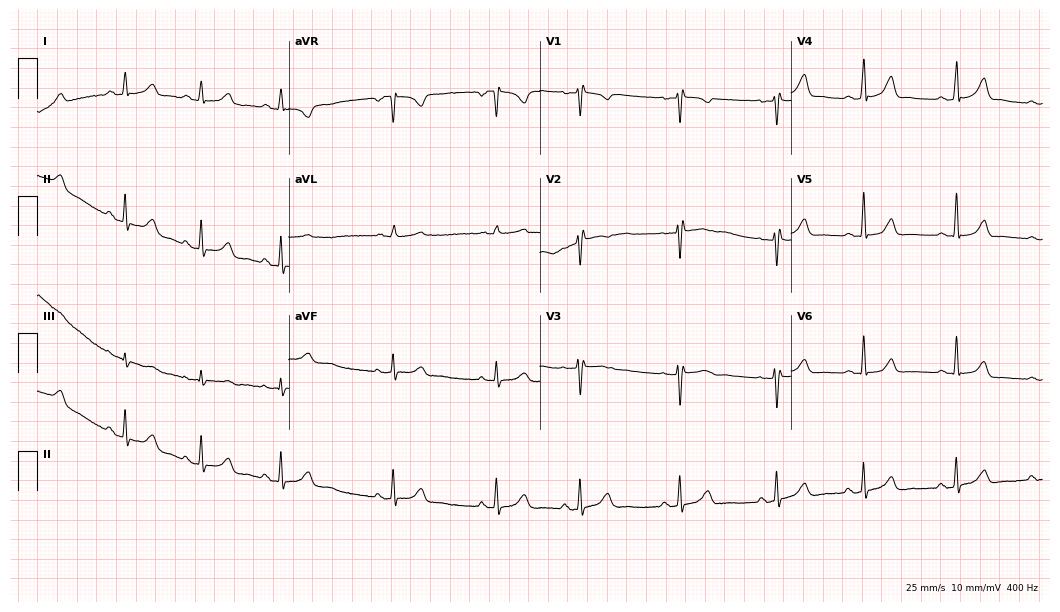
12-lead ECG from a 21-year-old female patient (10.2-second recording at 400 Hz). No first-degree AV block, right bundle branch block, left bundle branch block, sinus bradycardia, atrial fibrillation or sinus tachycardia recorded for this tracing. Findings outside these six are not listed.